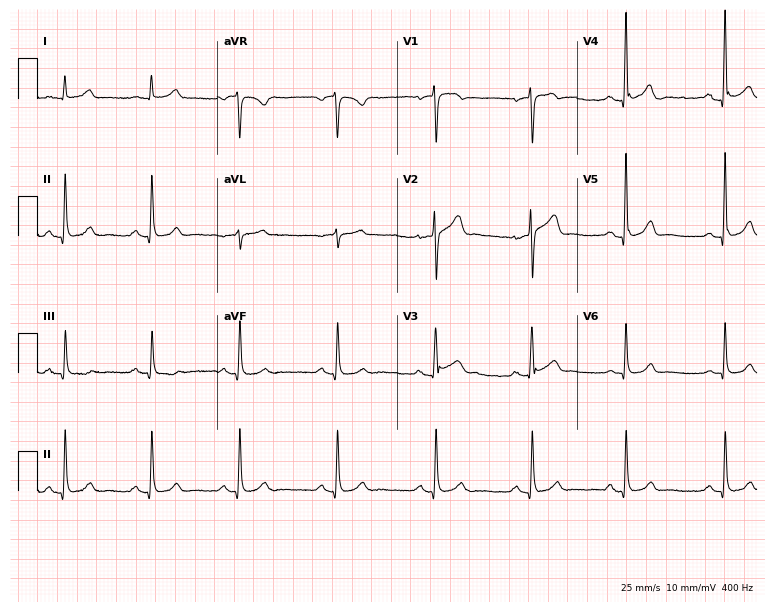
12-lead ECG (7.3-second recording at 400 Hz) from a male patient, 74 years old. Labelled as a normal ECG.